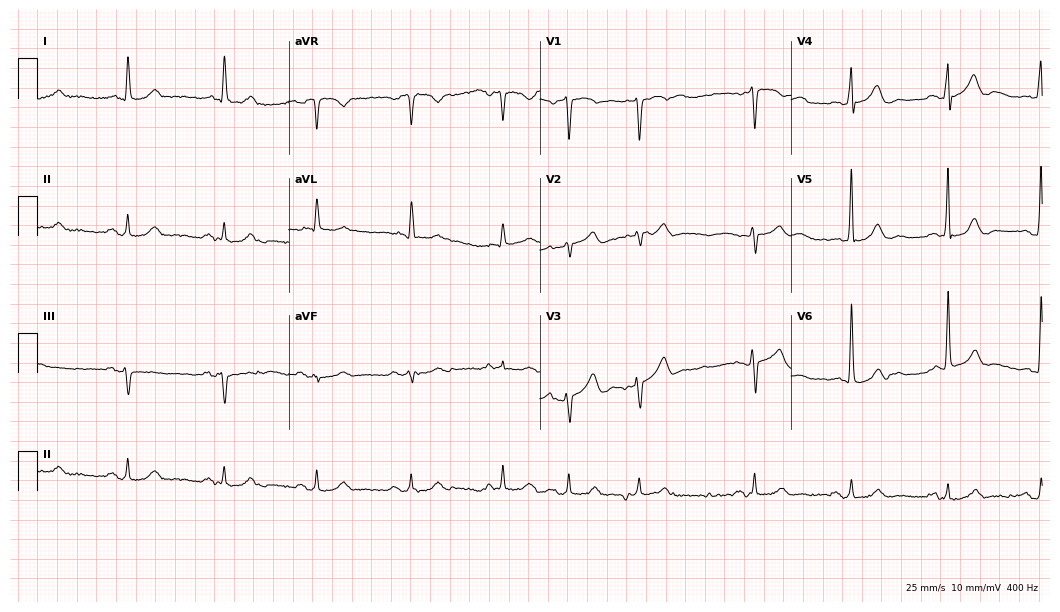
Electrocardiogram (10.2-second recording at 400 Hz), a woman, 68 years old. Of the six screened findings (first-degree AV block, right bundle branch block (RBBB), left bundle branch block (LBBB), sinus bradycardia, atrial fibrillation (AF), sinus tachycardia), none is recorded.